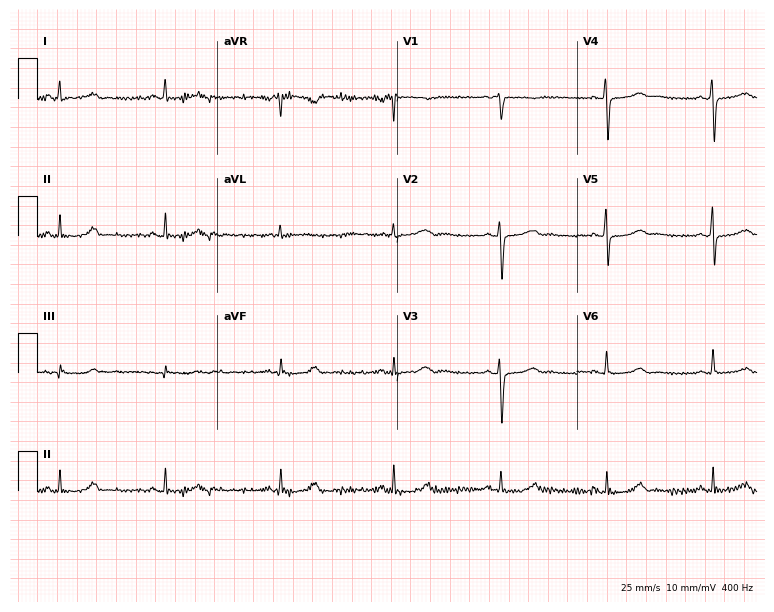
Resting 12-lead electrocardiogram (7.3-second recording at 400 Hz). Patient: a woman, 46 years old. None of these six findings is recorded: first-degree AV block, right bundle branch block (RBBB), left bundle branch block (LBBB), sinus bradycardia, atrial fibrillation (AF), sinus tachycardia.